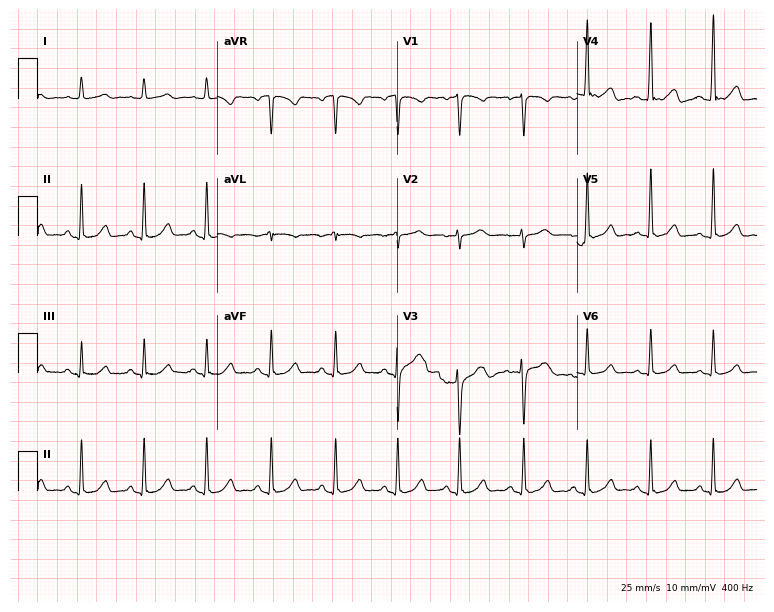
Resting 12-lead electrocardiogram. Patient: a 37-year-old woman. None of these six findings is recorded: first-degree AV block, right bundle branch block, left bundle branch block, sinus bradycardia, atrial fibrillation, sinus tachycardia.